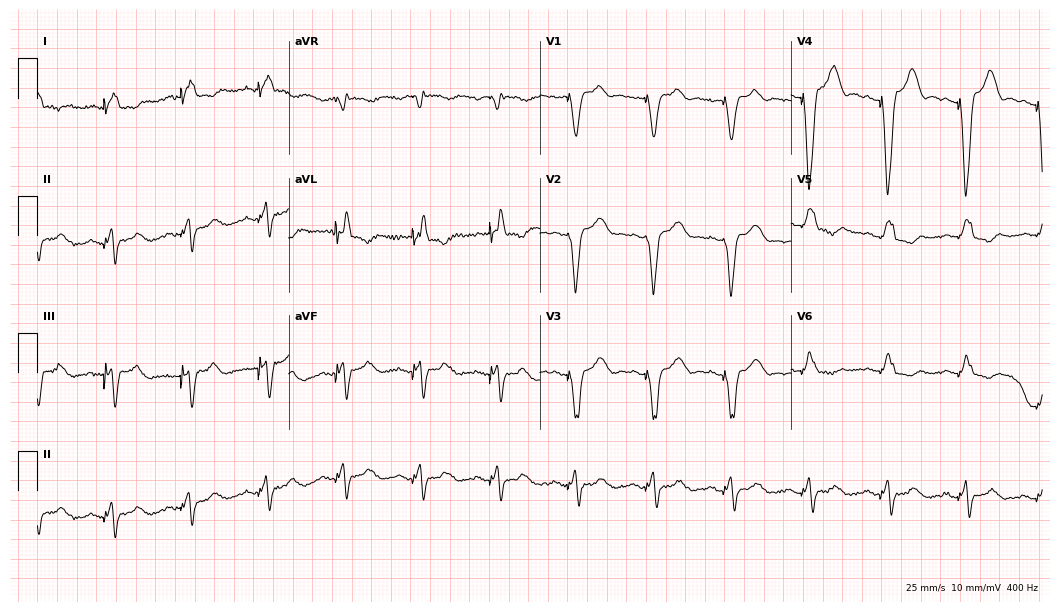
Standard 12-lead ECG recorded from a female, 81 years old (10.2-second recording at 400 Hz). None of these six findings is recorded: first-degree AV block, right bundle branch block (RBBB), left bundle branch block (LBBB), sinus bradycardia, atrial fibrillation (AF), sinus tachycardia. Only these six findings were labelled.